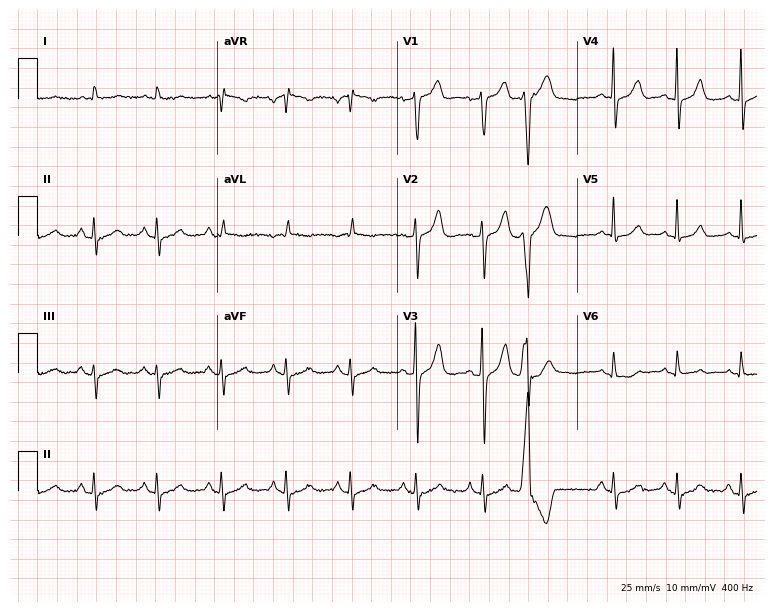
Resting 12-lead electrocardiogram. Patient: a 74-year-old male. None of these six findings is recorded: first-degree AV block, right bundle branch block, left bundle branch block, sinus bradycardia, atrial fibrillation, sinus tachycardia.